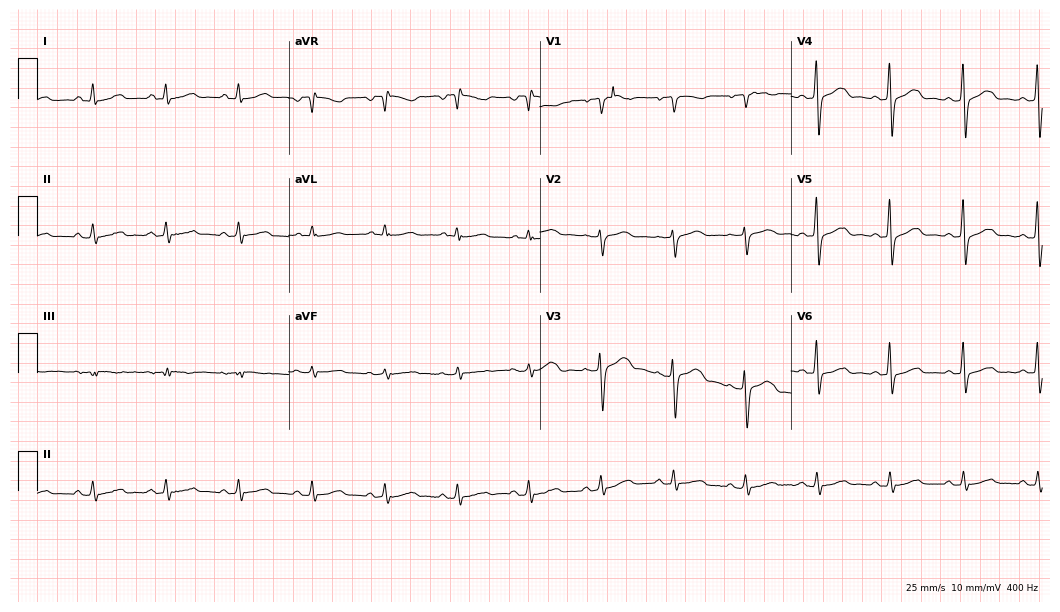
12-lead ECG from a woman, 45 years old. Recorded interpretation: within normal limits.